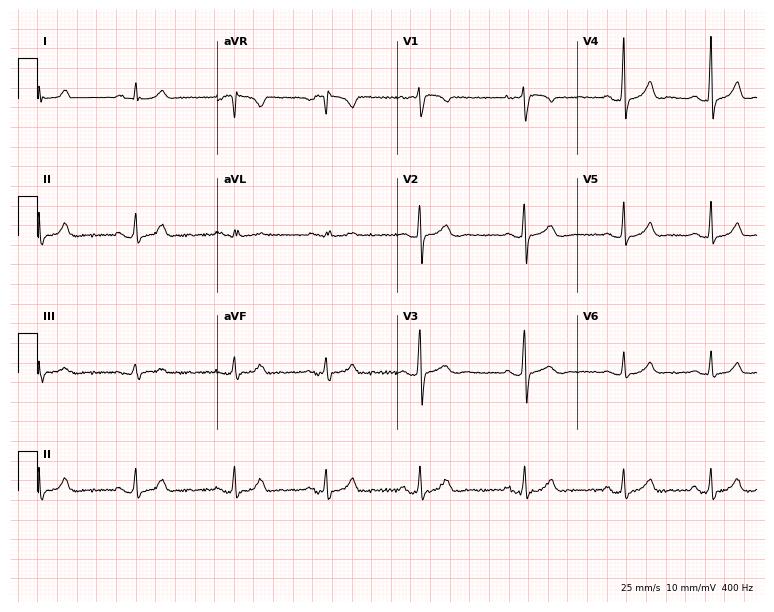
Resting 12-lead electrocardiogram. Patient: a female, 21 years old. Read as a normal ECG.